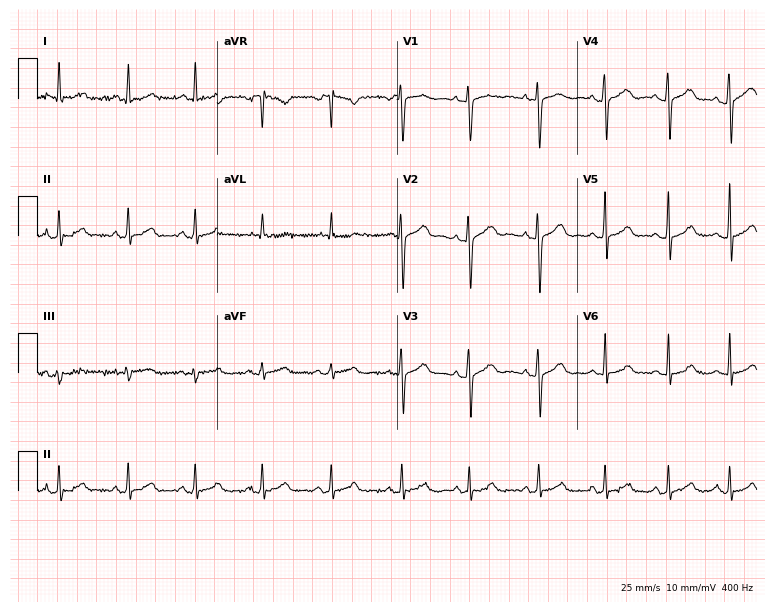
12-lead ECG from a female patient, 21 years old. No first-degree AV block, right bundle branch block, left bundle branch block, sinus bradycardia, atrial fibrillation or sinus tachycardia recorded for this tracing.